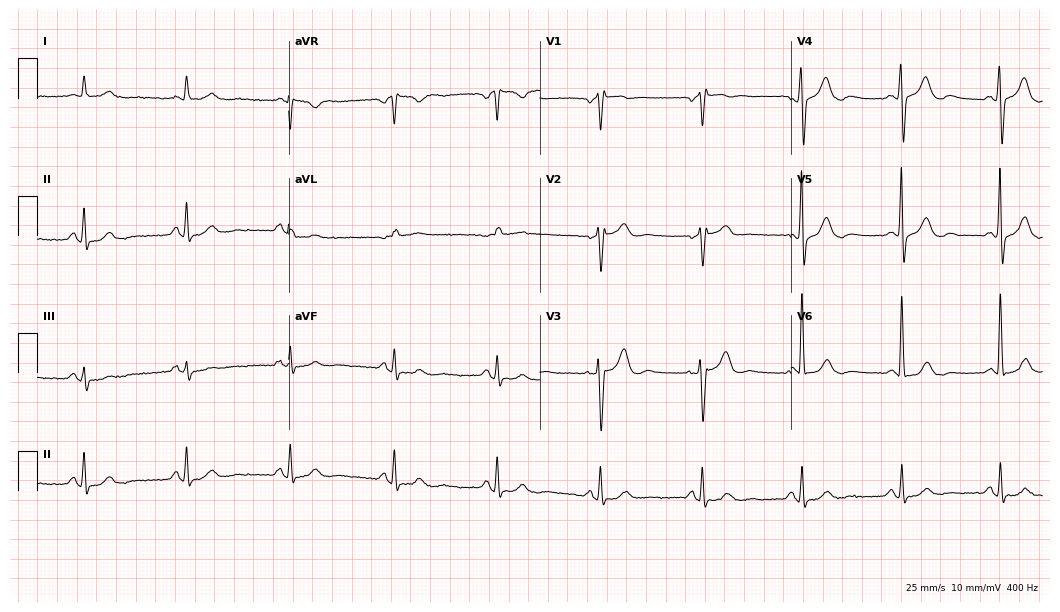
12-lead ECG from a 73-year-old man (10.2-second recording at 400 Hz). No first-degree AV block, right bundle branch block, left bundle branch block, sinus bradycardia, atrial fibrillation or sinus tachycardia recorded for this tracing. Other findings, if any, are not listed.